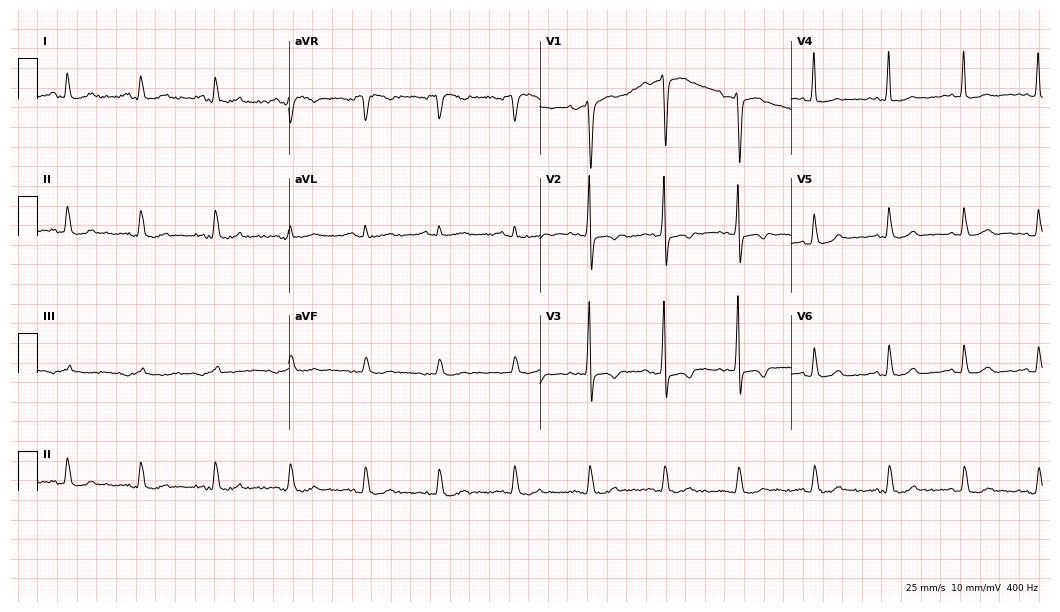
12-lead ECG from a 62-year-old male. No first-degree AV block, right bundle branch block, left bundle branch block, sinus bradycardia, atrial fibrillation or sinus tachycardia recorded for this tracing. Findings outside these six are not listed.